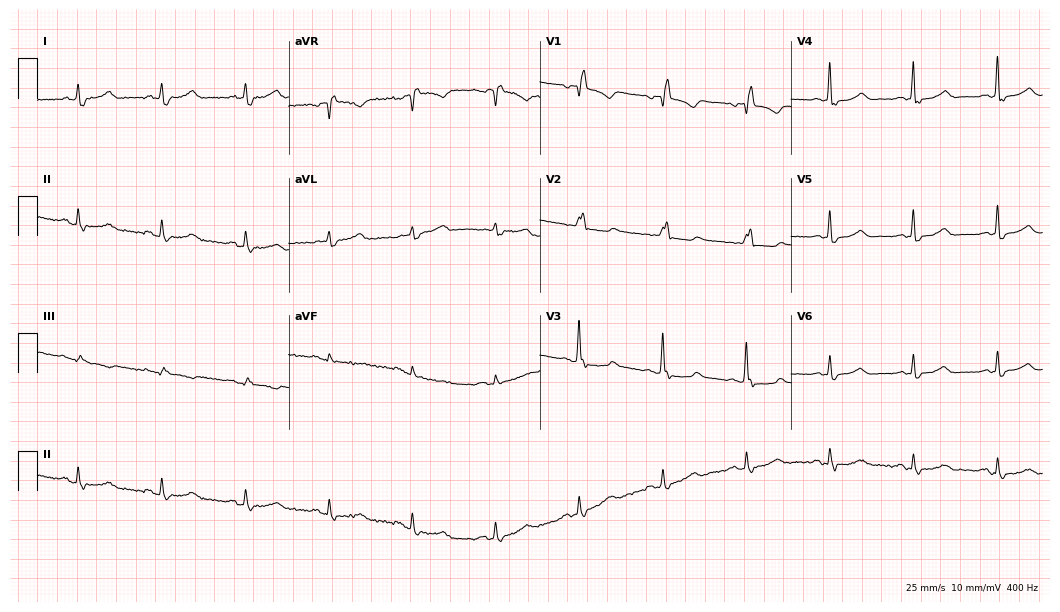
12-lead ECG (10.2-second recording at 400 Hz) from a female, 84 years old. Findings include right bundle branch block.